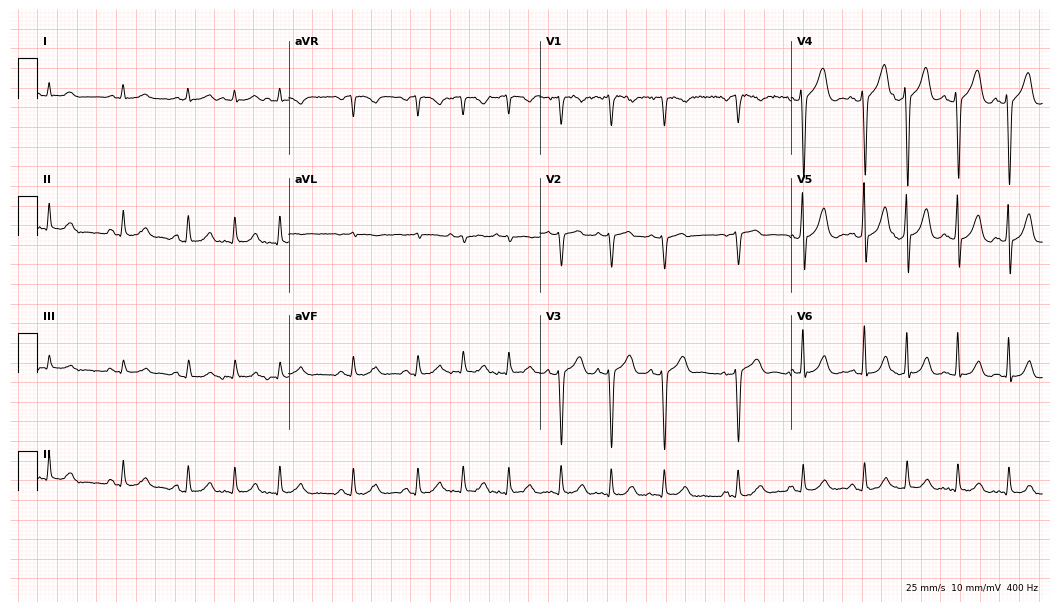
Resting 12-lead electrocardiogram. Patient: a 68-year-old man. The tracing shows sinus tachycardia (a sinus rate of 100 beats per minute or more).